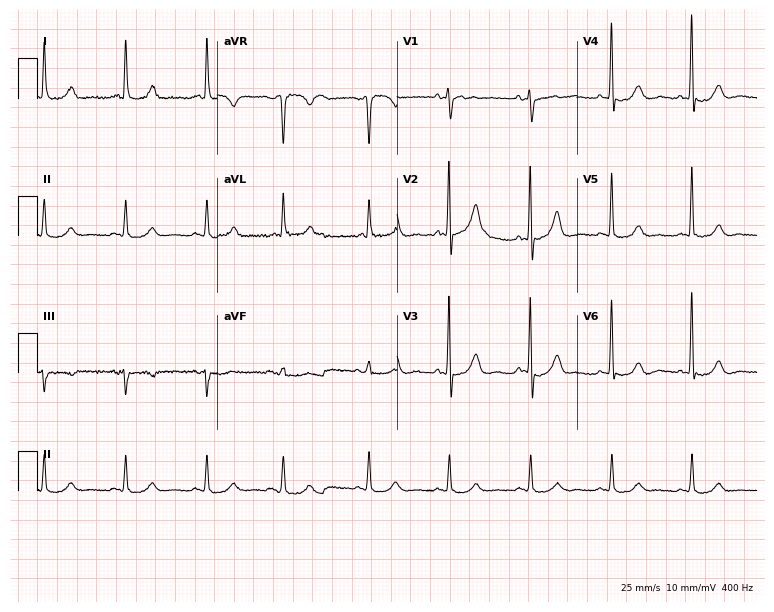
Resting 12-lead electrocardiogram. Patient: a woman, 78 years old. None of these six findings is recorded: first-degree AV block, right bundle branch block, left bundle branch block, sinus bradycardia, atrial fibrillation, sinus tachycardia. Findings outside these six are not listed.